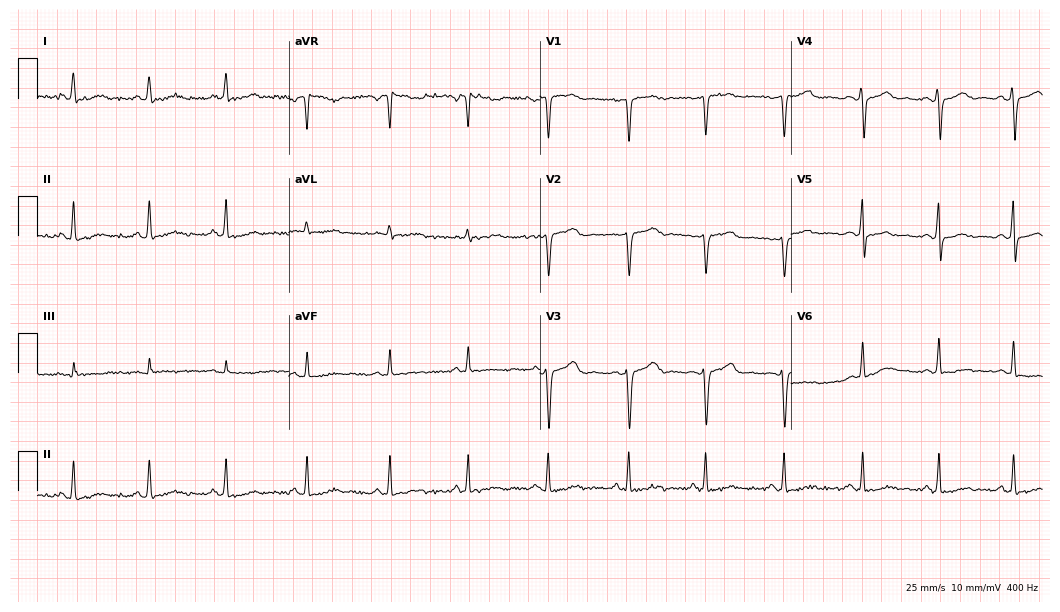
Resting 12-lead electrocardiogram. Patient: a female, 42 years old. None of these six findings is recorded: first-degree AV block, right bundle branch block, left bundle branch block, sinus bradycardia, atrial fibrillation, sinus tachycardia.